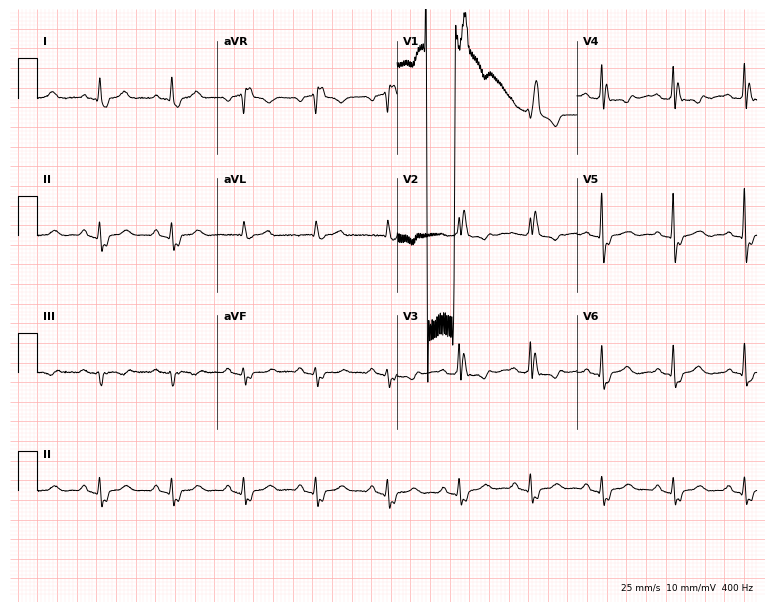
ECG (7.3-second recording at 400 Hz) — a male patient, 69 years old. Findings include right bundle branch block (RBBB).